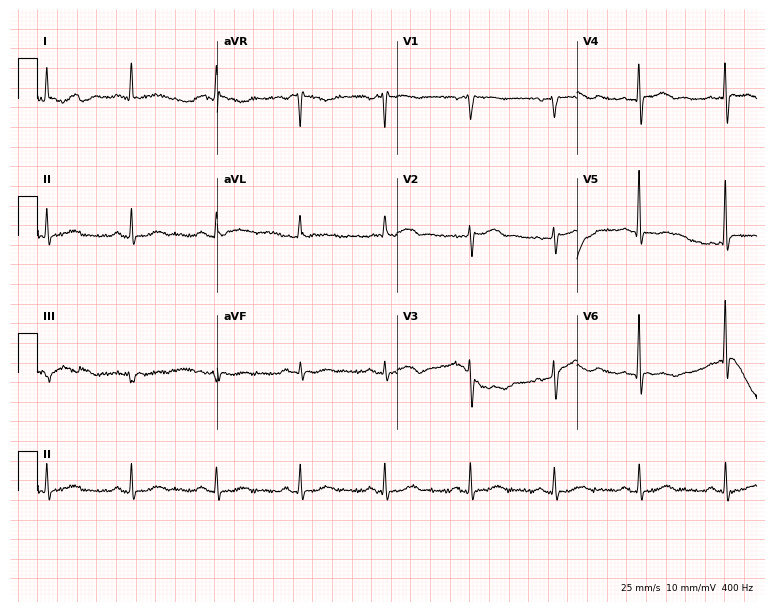
12-lead ECG from a female, 84 years old (7.3-second recording at 400 Hz). No first-degree AV block, right bundle branch block (RBBB), left bundle branch block (LBBB), sinus bradycardia, atrial fibrillation (AF) or sinus tachycardia recorded for this tracing.